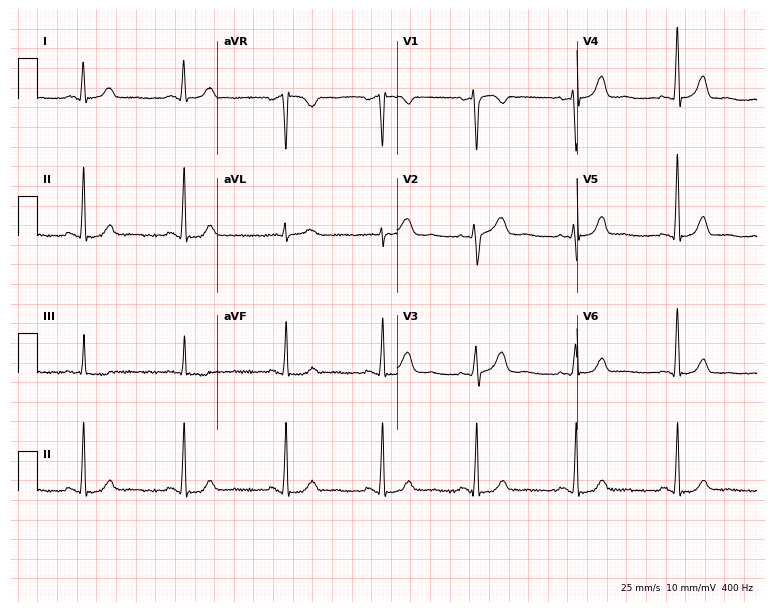
12-lead ECG from a 43-year-old female patient. Screened for six findings — first-degree AV block, right bundle branch block, left bundle branch block, sinus bradycardia, atrial fibrillation, sinus tachycardia — none is recorded.